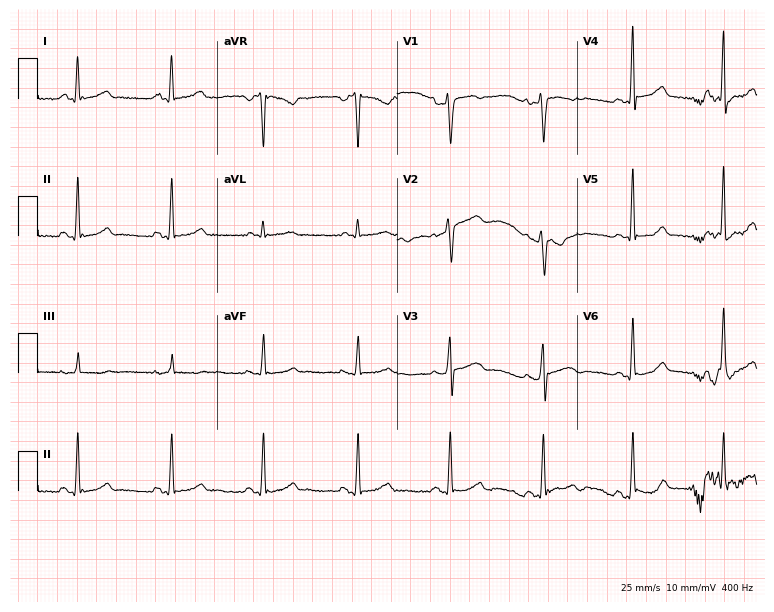
12-lead ECG from a 54-year-old female patient. Screened for six findings — first-degree AV block, right bundle branch block (RBBB), left bundle branch block (LBBB), sinus bradycardia, atrial fibrillation (AF), sinus tachycardia — none is recorded.